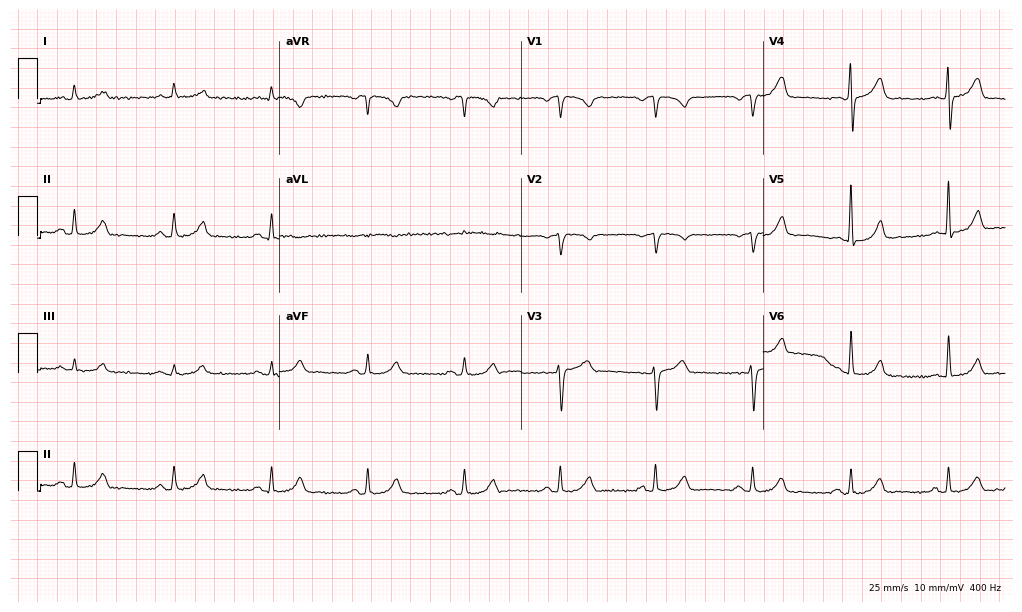
12-lead ECG (9.9-second recording at 400 Hz) from a 43-year-old male. Screened for six findings — first-degree AV block, right bundle branch block, left bundle branch block, sinus bradycardia, atrial fibrillation, sinus tachycardia — none is recorded. Findings outside these six are not listed.